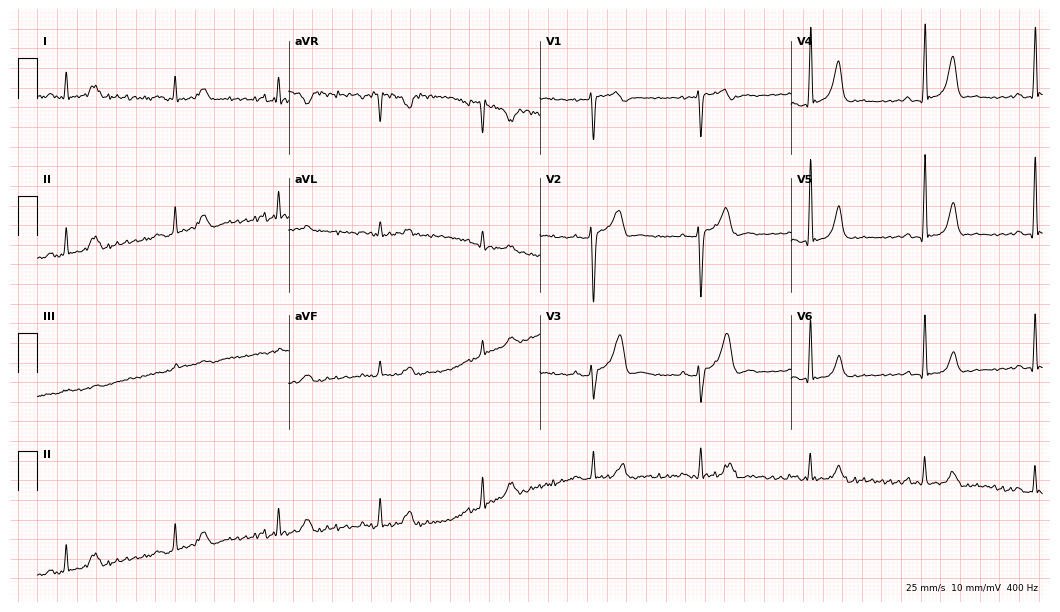
ECG (10.2-second recording at 400 Hz) — a 51-year-old male patient. Labelled as a normal ECG.